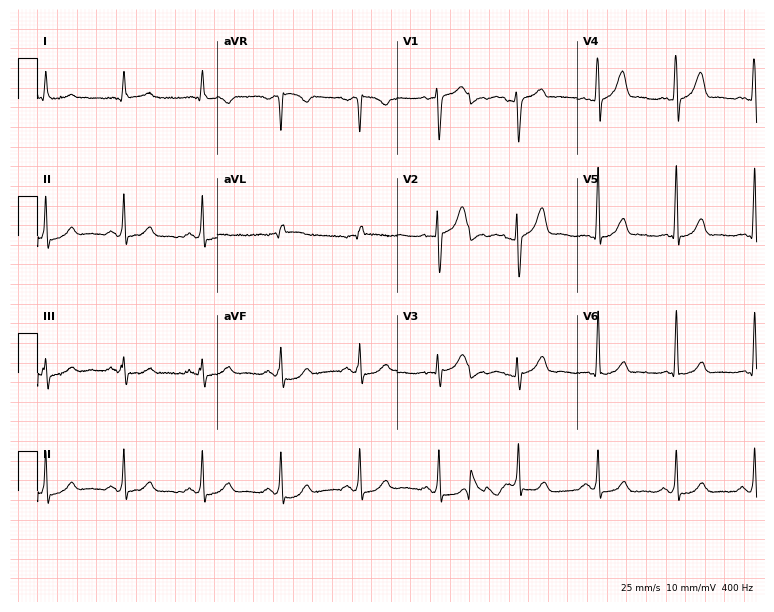
Electrocardiogram, a man, 45 years old. Of the six screened findings (first-degree AV block, right bundle branch block (RBBB), left bundle branch block (LBBB), sinus bradycardia, atrial fibrillation (AF), sinus tachycardia), none is recorded.